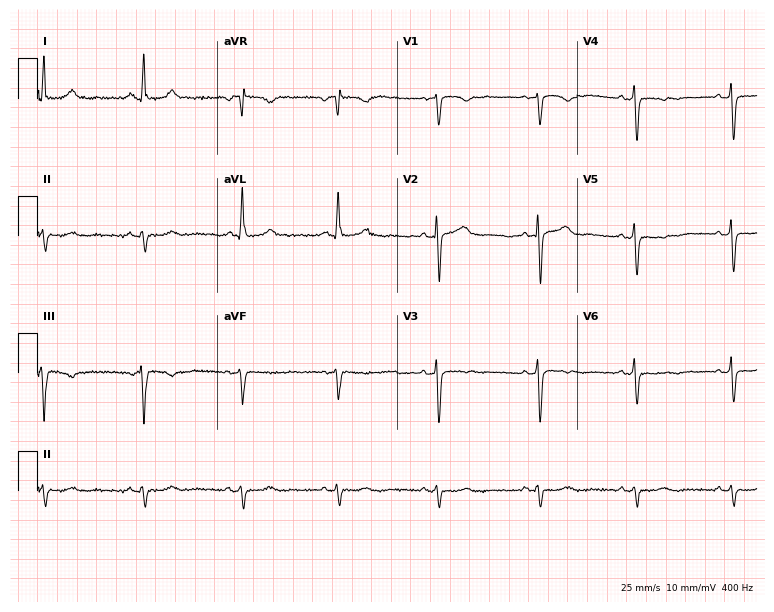
12-lead ECG from a female patient, 64 years old. Screened for six findings — first-degree AV block, right bundle branch block, left bundle branch block, sinus bradycardia, atrial fibrillation, sinus tachycardia — none is recorded. Other findings, if any, are not listed.